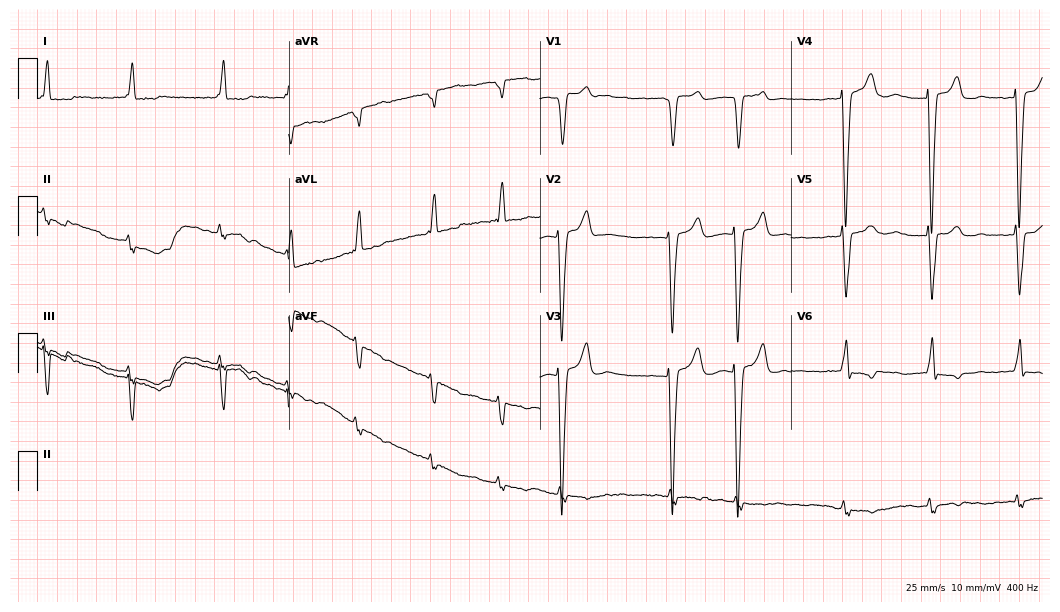
Electrocardiogram (10.2-second recording at 400 Hz), a female, 76 years old. Interpretation includes left bundle branch block, atrial fibrillation.